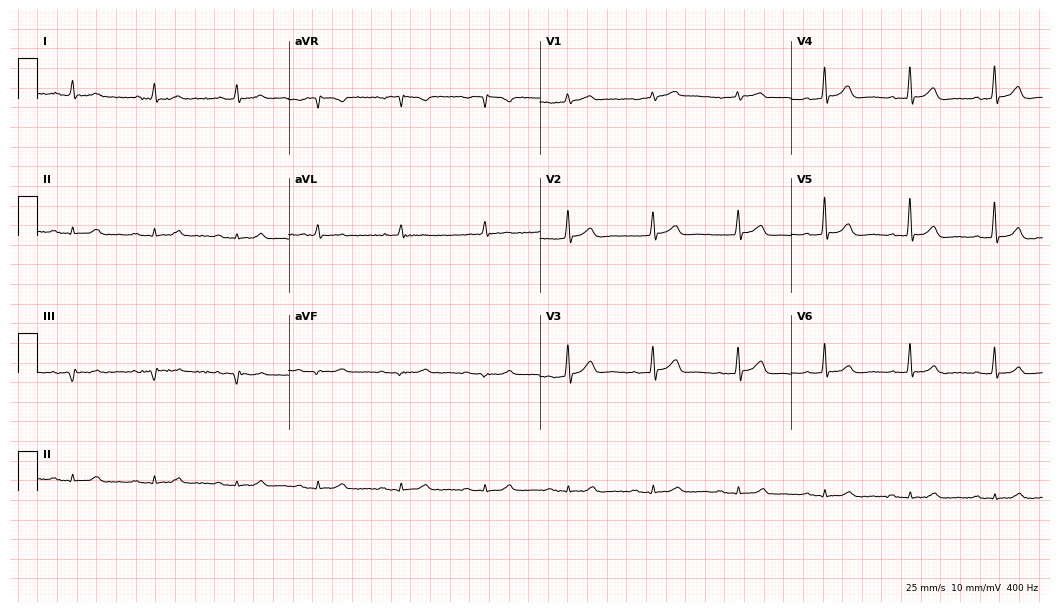
12-lead ECG from a 64-year-old man. No first-degree AV block, right bundle branch block (RBBB), left bundle branch block (LBBB), sinus bradycardia, atrial fibrillation (AF) or sinus tachycardia recorded for this tracing.